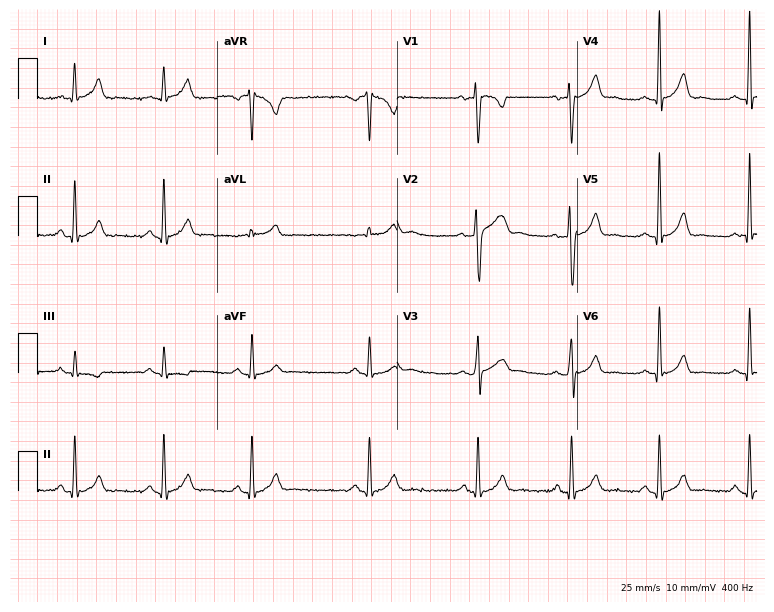
Electrocardiogram (7.3-second recording at 400 Hz), a 32-year-old male patient. Overall reading on record: normal ECG.